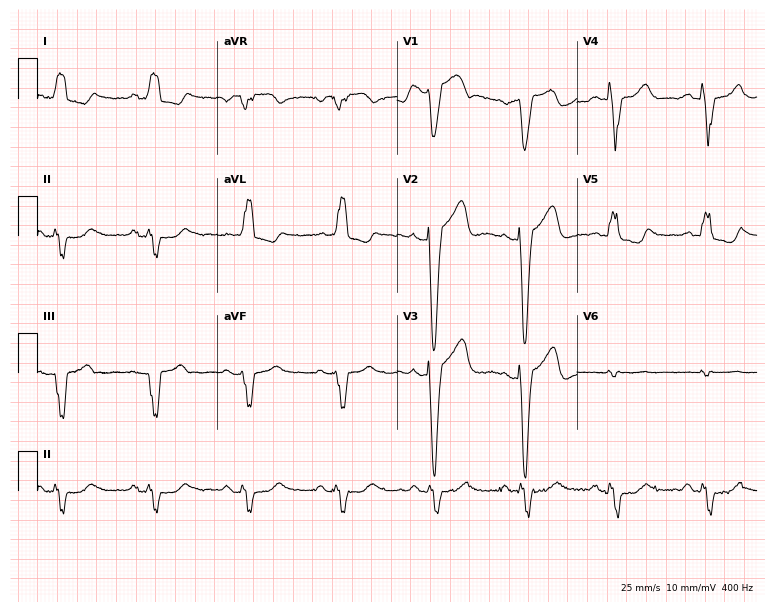
ECG — a female patient, 73 years old. Findings include left bundle branch block.